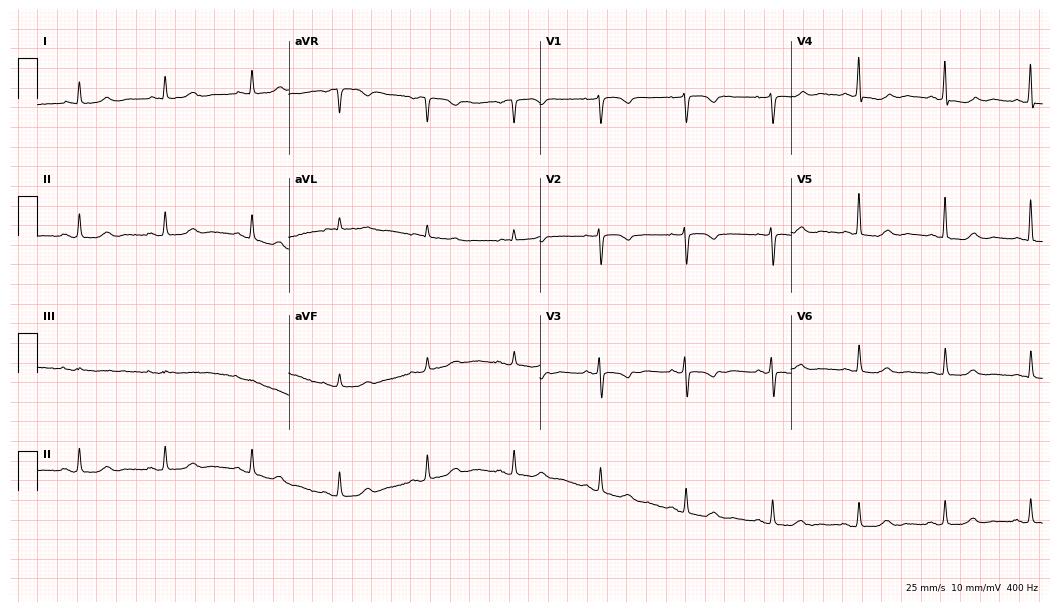
Resting 12-lead electrocardiogram (10.2-second recording at 400 Hz). Patient: a 54-year-old woman. None of these six findings is recorded: first-degree AV block, right bundle branch block, left bundle branch block, sinus bradycardia, atrial fibrillation, sinus tachycardia.